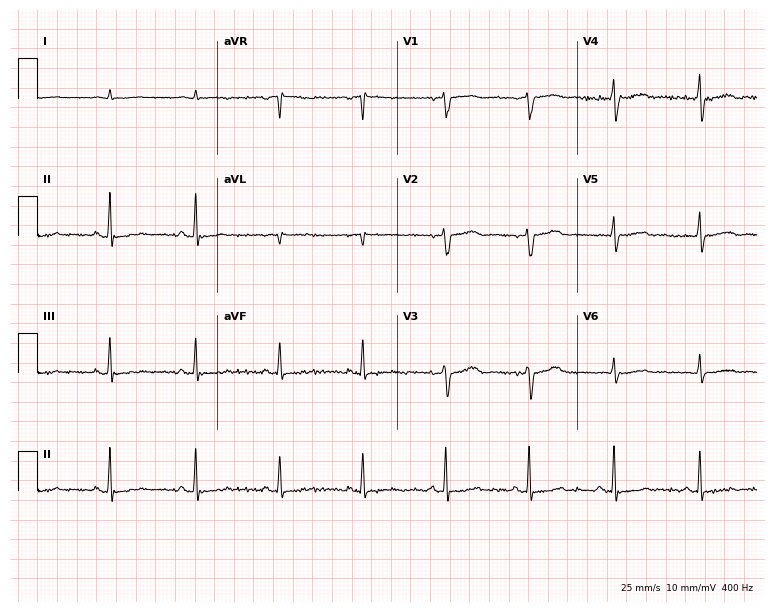
ECG (7.3-second recording at 400 Hz) — an 83-year-old male. Screened for six findings — first-degree AV block, right bundle branch block, left bundle branch block, sinus bradycardia, atrial fibrillation, sinus tachycardia — none is recorded. Only these six findings were labelled.